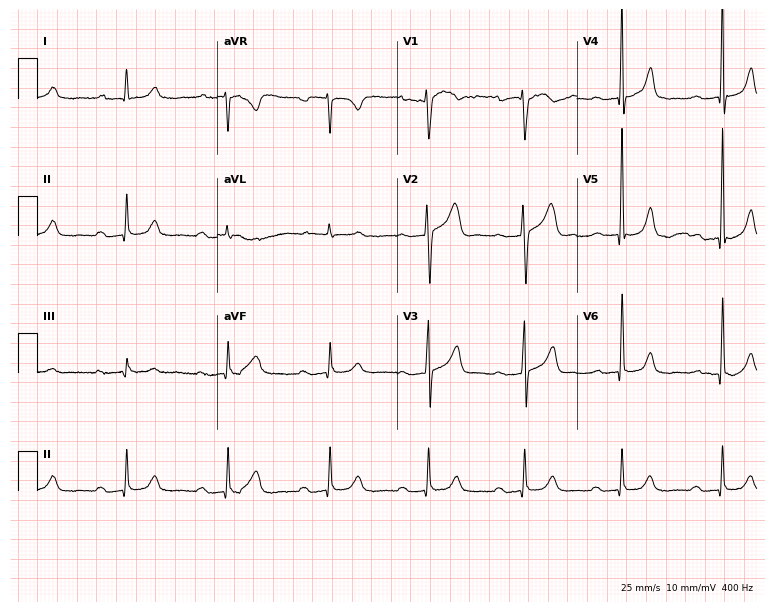
ECG (7.3-second recording at 400 Hz) — a male patient, 70 years old. Findings include first-degree AV block.